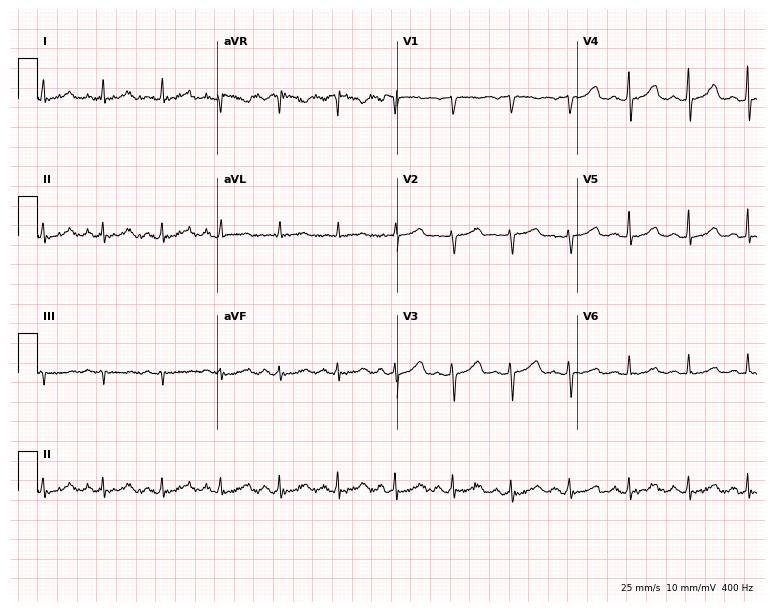
ECG (7.3-second recording at 400 Hz) — a female, 55 years old. Labelled as a normal ECG.